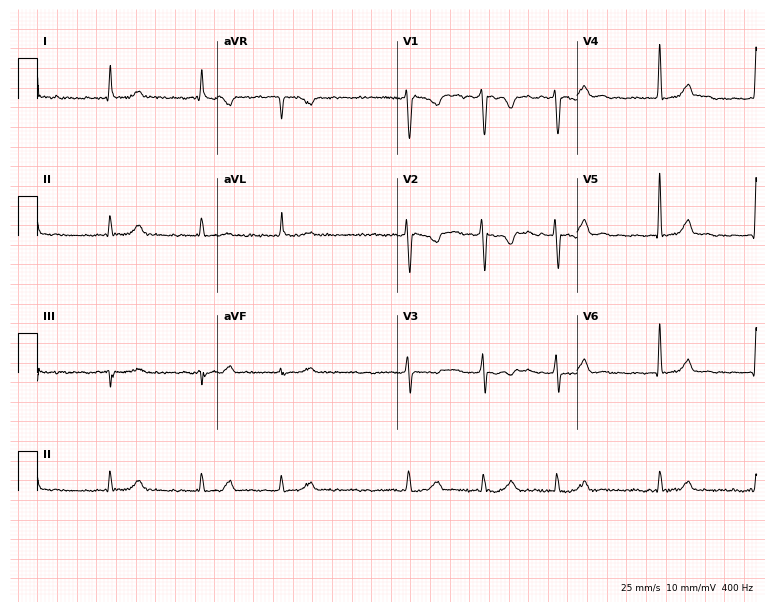
12-lead ECG (7.3-second recording at 400 Hz) from a female, 37 years old. Findings include atrial fibrillation.